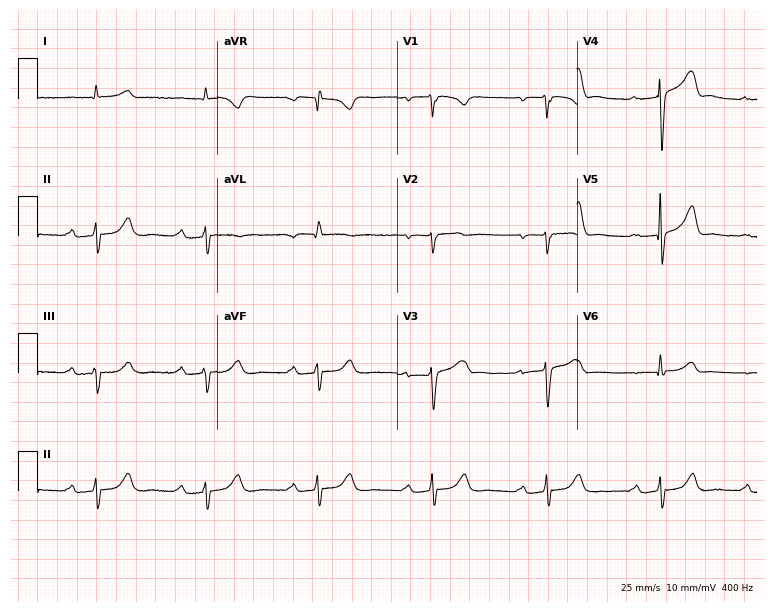
Standard 12-lead ECG recorded from a female patient, 73 years old (7.3-second recording at 400 Hz). The tracing shows first-degree AV block.